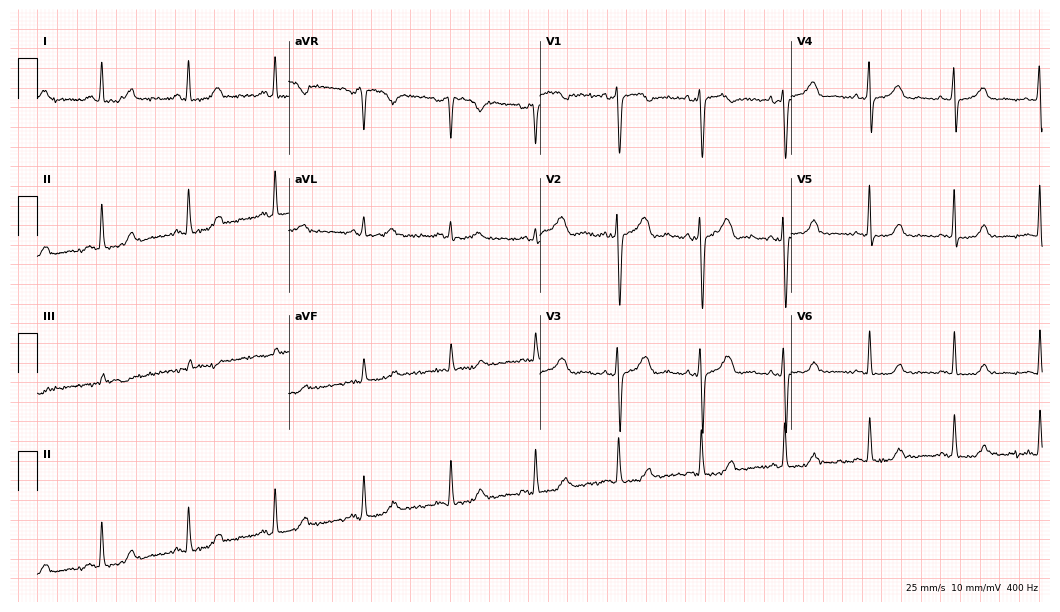
Electrocardiogram (10.2-second recording at 400 Hz), a 47-year-old female patient. Overall reading on record: normal ECG.